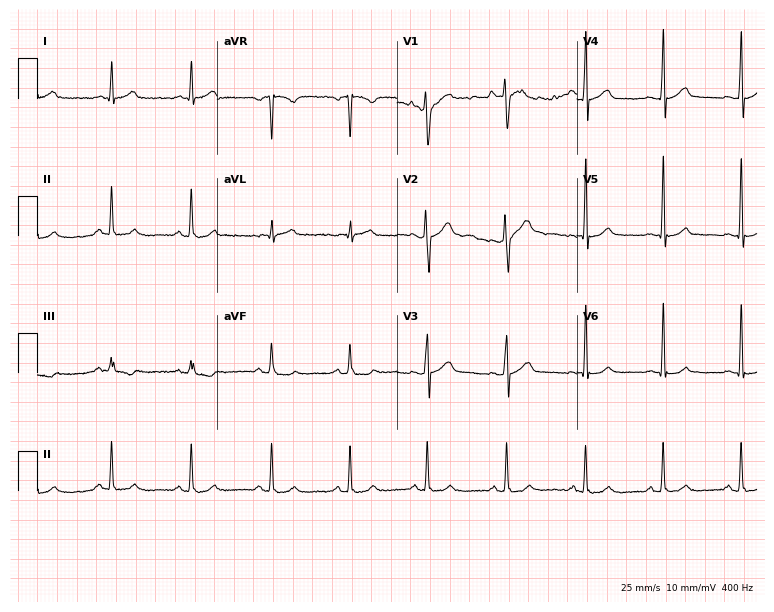
12-lead ECG from a 27-year-old male. Screened for six findings — first-degree AV block, right bundle branch block, left bundle branch block, sinus bradycardia, atrial fibrillation, sinus tachycardia — none is recorded. Other findings, if any, are not listed.